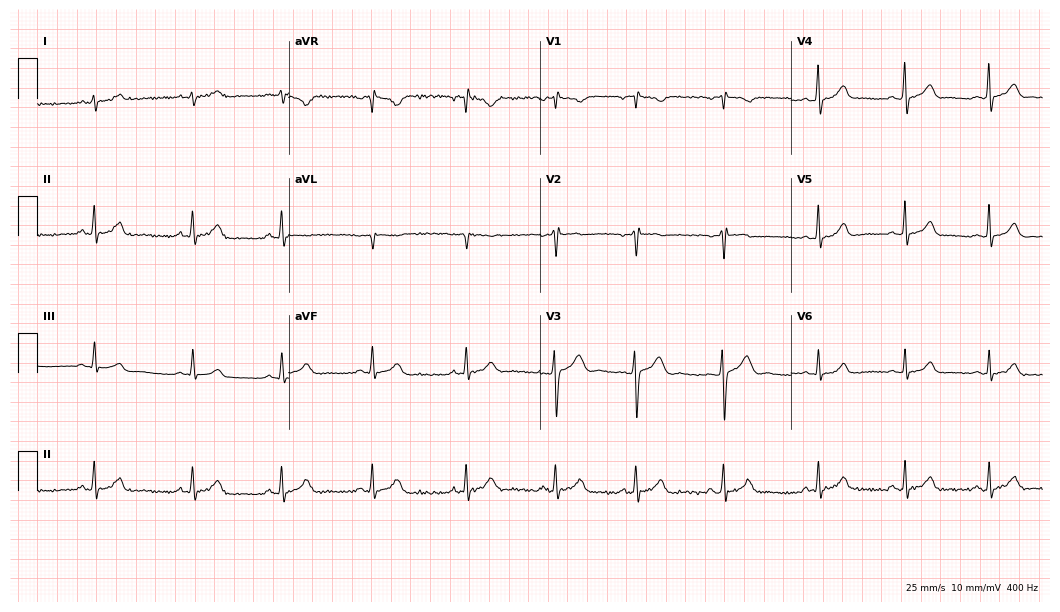
ECG — a 24-year-old female patient. Labelled as a normal ECG.